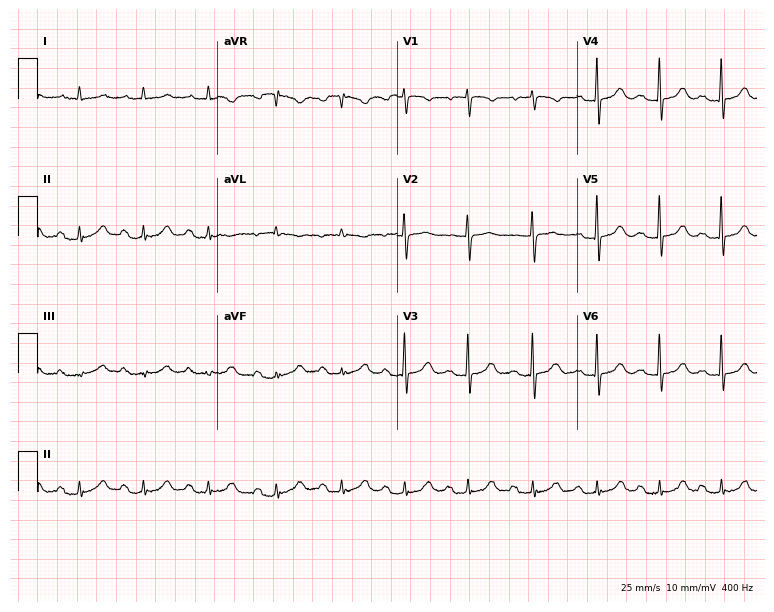
ECG (7.3-second recording at 400 Hz) — a 79-year-old female. Labelled as a normal ECG.